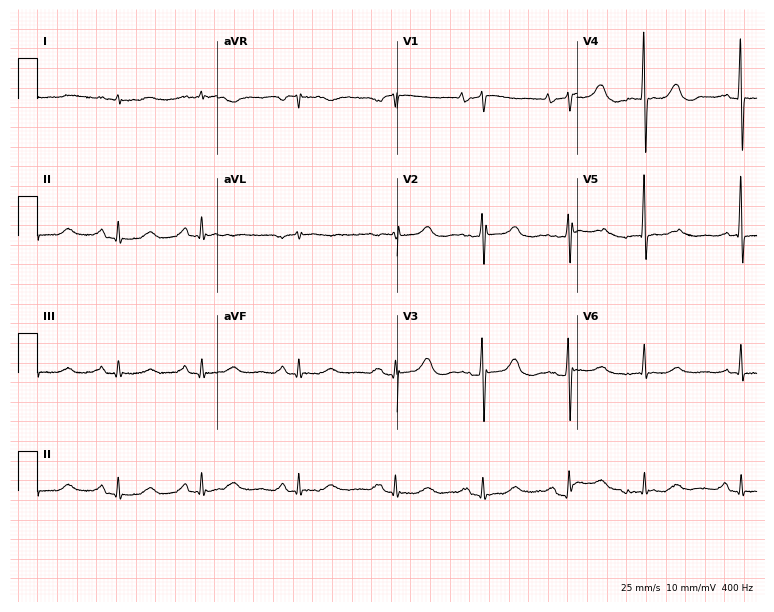
Standard 12-lead ECG recorded from a woman, 77 years old. None of these six findings is recorded: first-degree AV block, right bundle branch block, left bundle branch block, sinus bradycardia, atrial fibrillation, sinus tachycardia.